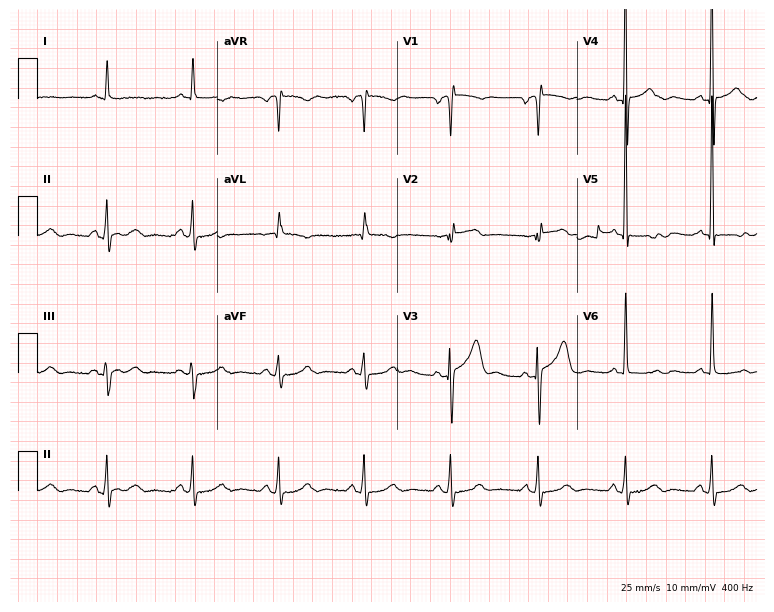
12-lead ECG from an 85-year-old man (7.3-second recording at 400 Hz). No first-degree AV block, right bundle branch block (RBBB), left bundle branch block (LBBB), sinus bradycardia, atrial fibrillation (AF) or sinus tachycardia recorded for this tracing.